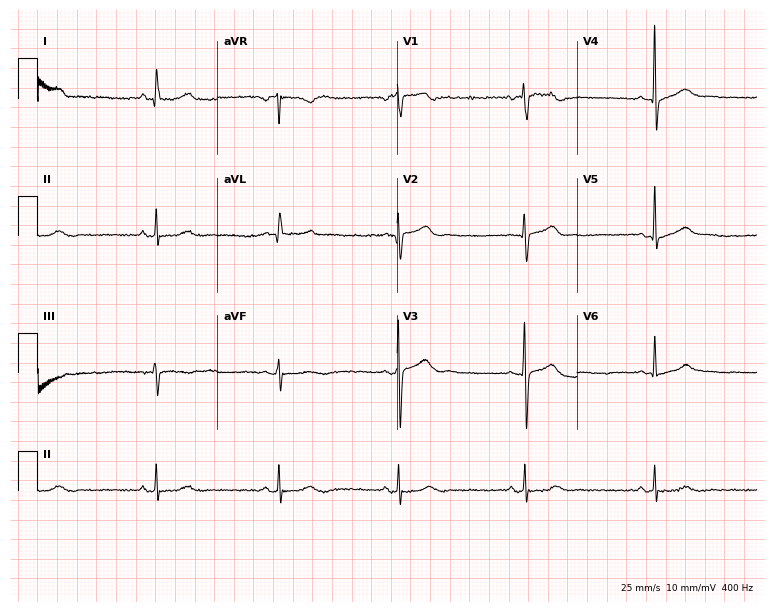
Electrocardiogram (7.3-second recording at 400 Hz), a woman, 35 years old. Overall reading on record: normal ECG.